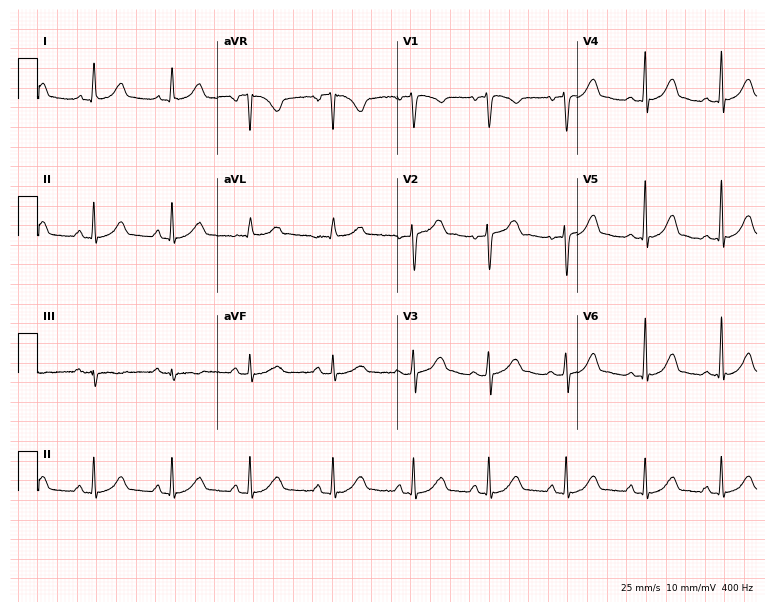
12-lead ECG from a female, 34 years old. Labelled as a normal ECG.